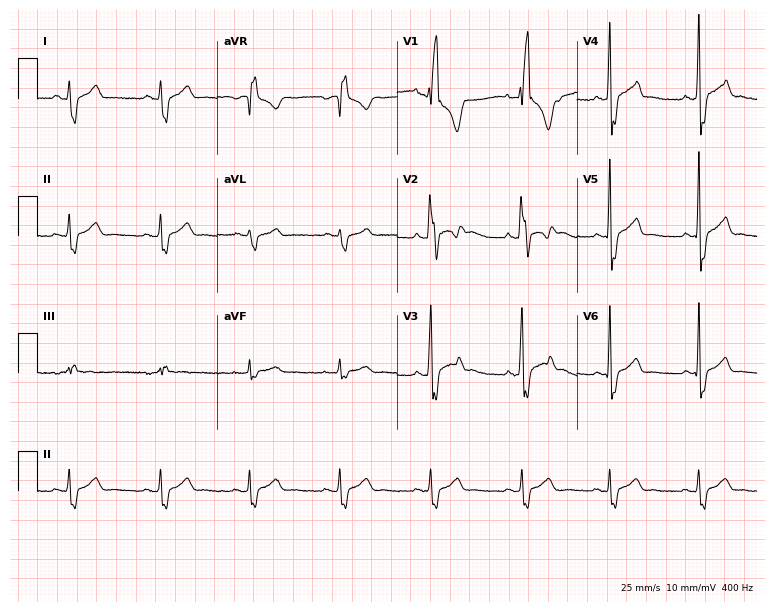
Standard 12-lead ECG recorded from a 24-year-old male. The tracing shows right bundle branch block.